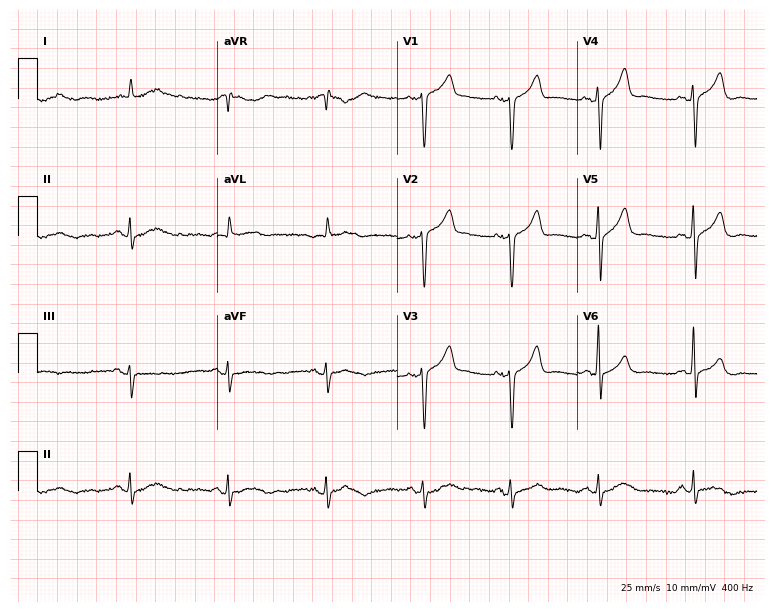
Resting 12-lead electrocardiogram (7.3-second recording at 400 Hz). Patient: a male, 72 years old. None of these six findings is recorded: first-degree AV block, right bundle branch block, left bundle branch block, sinus bradycardia, atrial fibrillation, sinus tachycardia.